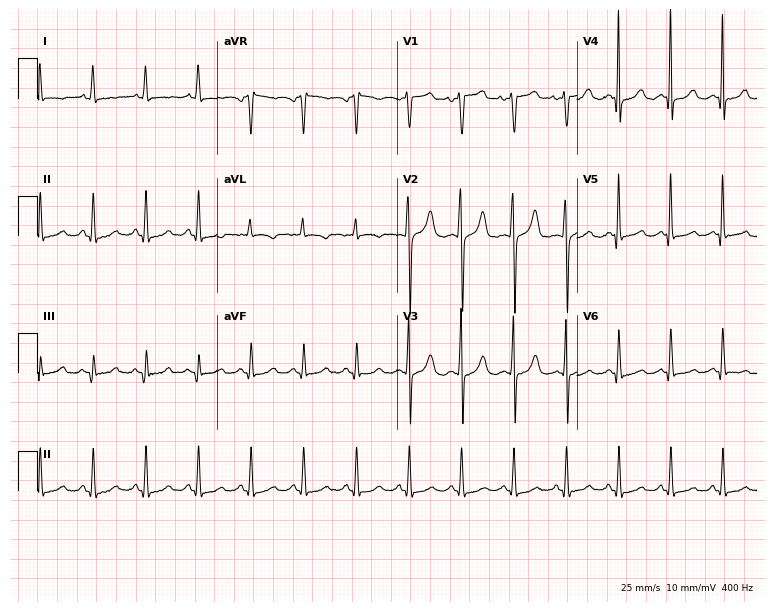
12-lead ECG from a 29-year-old female (7.3-second recording at 400 Hz). Shows sinus tachycardia (a sinus rate of 100 beats per minute or more).